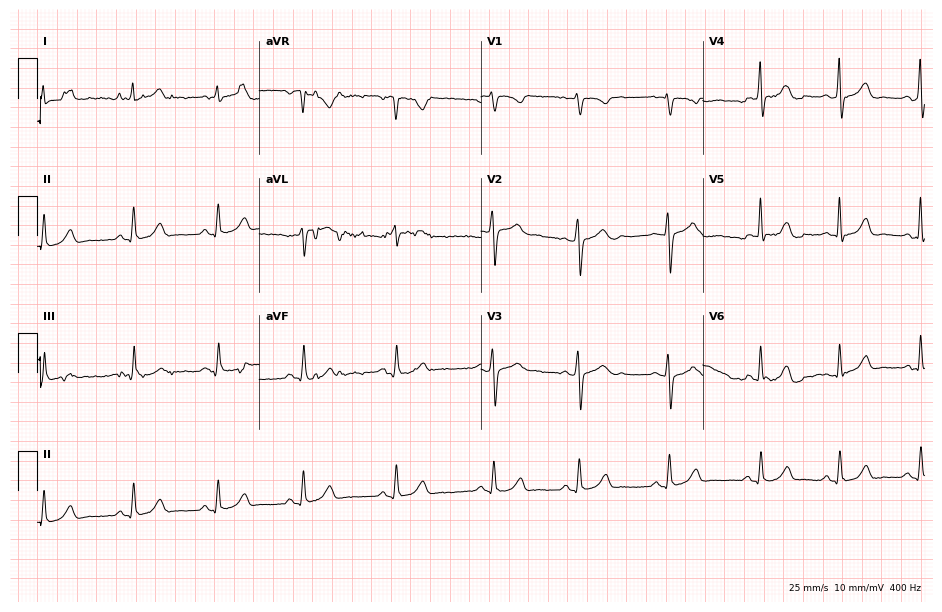
Standard 12-lead ECG recorded from a woman, 36 years old. Read as a normal ECG.